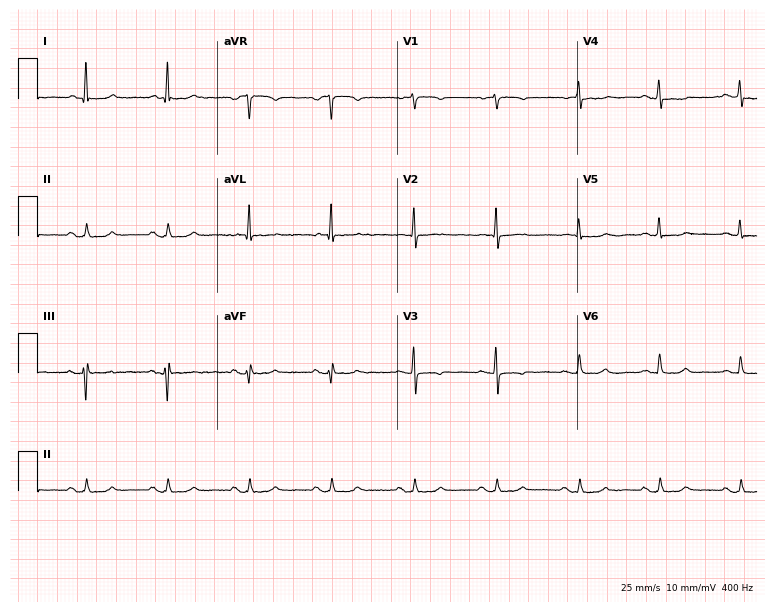
Resting 12-lead electrocardiogram. Patient: a female, 64 years old. Read as a normal ECG.